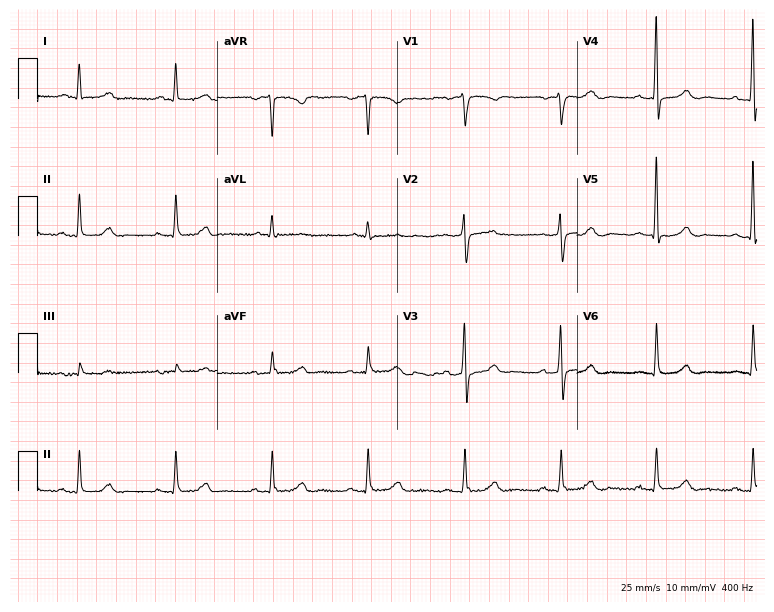
Resting 12-lead electrocardiogram. Patient: a male, 74 years old. Read as a normal ECG.